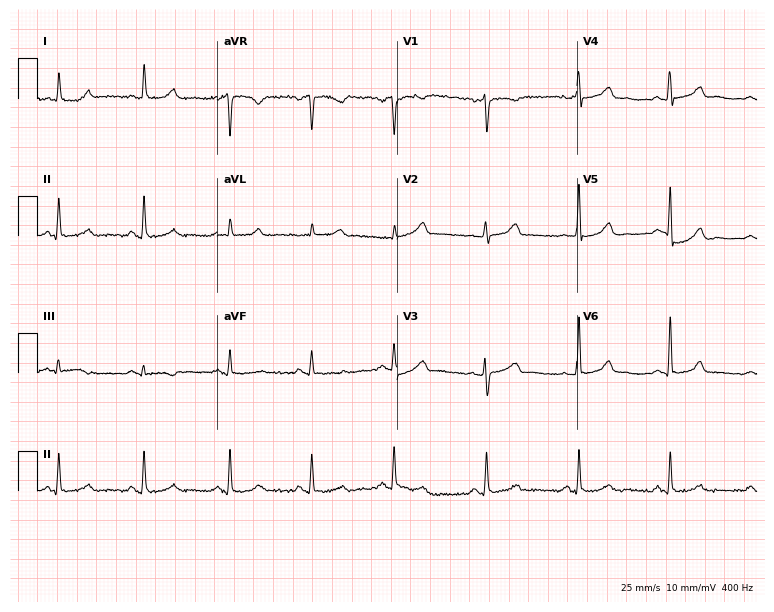
12-lead ECG from a 48-year-old female. No first-degree AV block, right bundle branch block, left bundle branch block, sinus bradycardia, atrial fibrillation or sinus tachycardia recorded for this tracing. Findings outside these six are not listed.